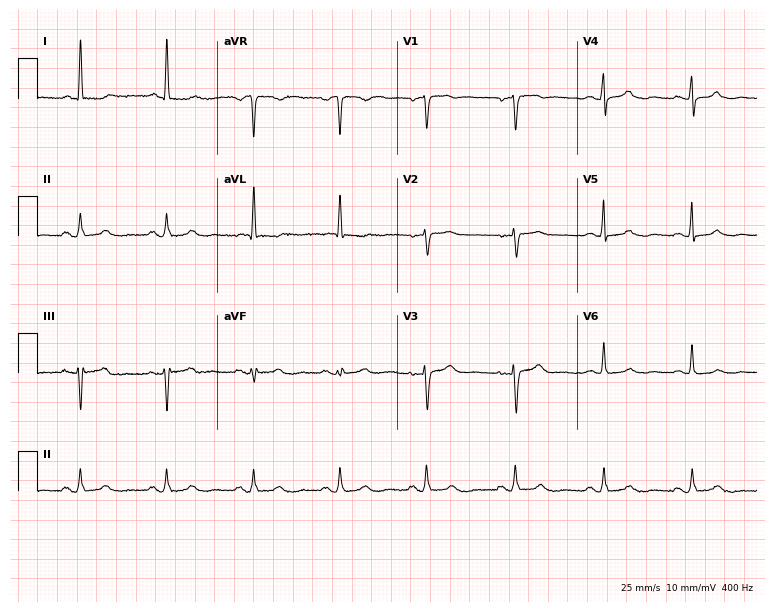
Standard 12-lead ECG recorded from a female, 69 years old (7.3-second recording at 400 Hz). None of these six findings is recorded: first-degree AV block, right bundle branch block, left bundle branch block, sinus bradycardia, atrial fibrillation, sinus tachycardia.